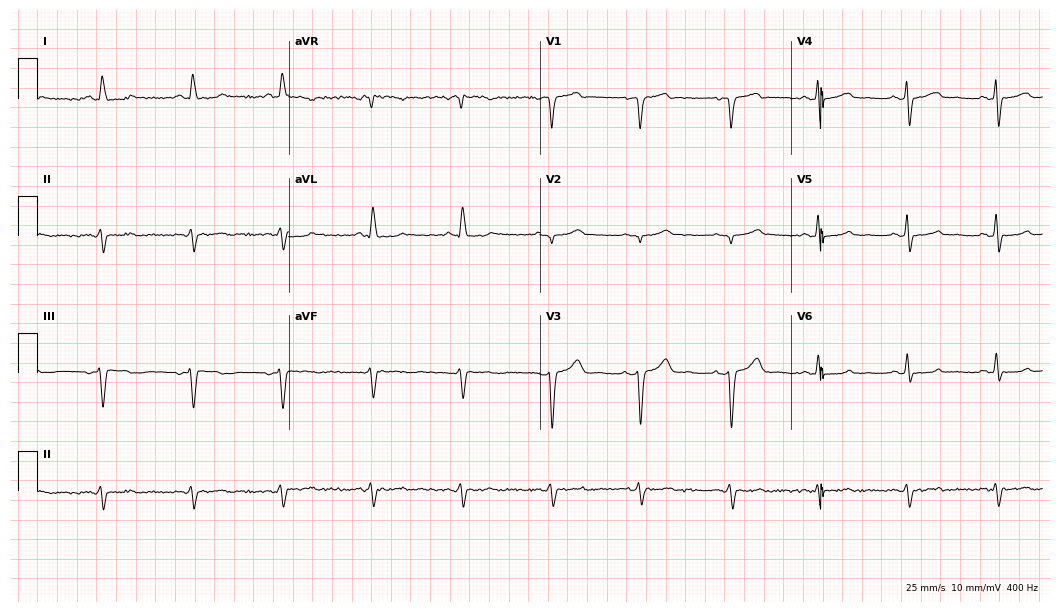
Standard 12-lead ECG recorded from a man, 74 years old (10.2-second recording at 400 Hz). None of these six findings is recorded: first-degree AV block, right bundle branch block (RBBB), left bundle branch block (LBBB), sinus bradycardia, atrial fibrillation (AF), sinus tachycardia. Findings outside these six are not listed.